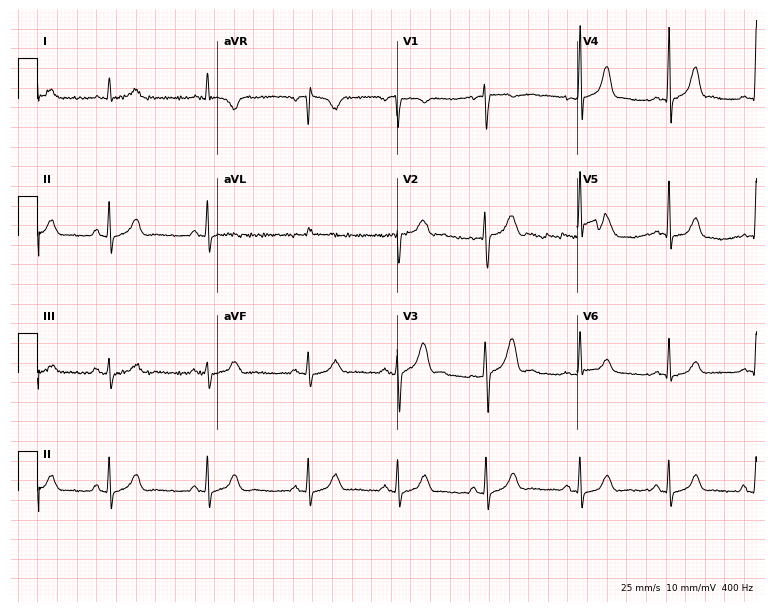
12-lead ECG from a 31-year-old female patient. Screened for six findings — first-degree AV block, right bundle branch block, left bundle branch block, sinus bradycardia, atrial fibrillation, sinus tachycardia — none is recorded.